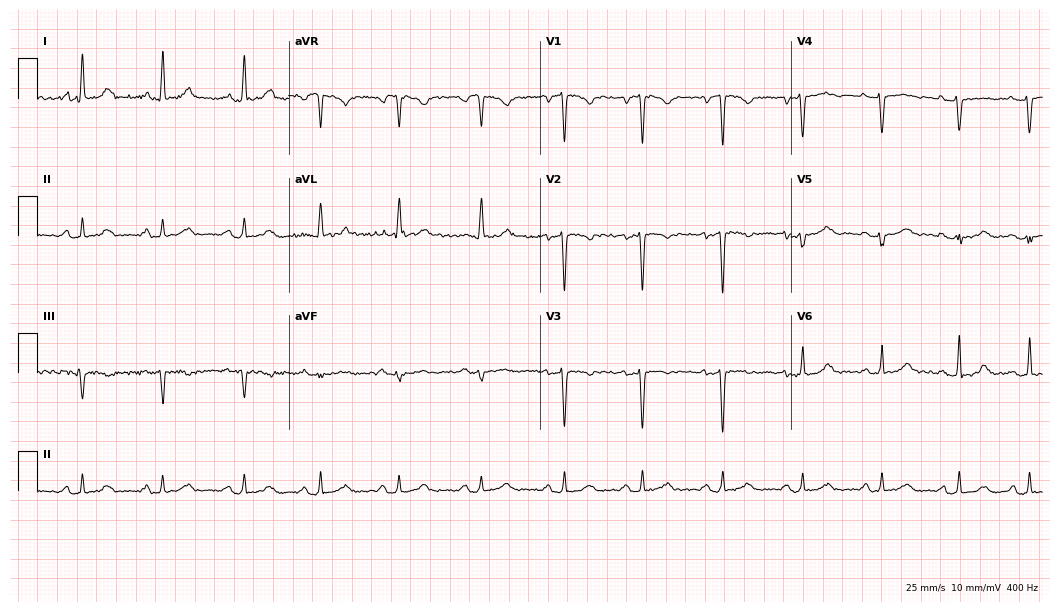
12-lead ECG from a 26-year-old female patient. Screened for six findings — first-degree AV block, right bundle branch block, left bundle branch block, sinus bradycardia, atrial fibrillation, sinus tachycardia — none is recorded.